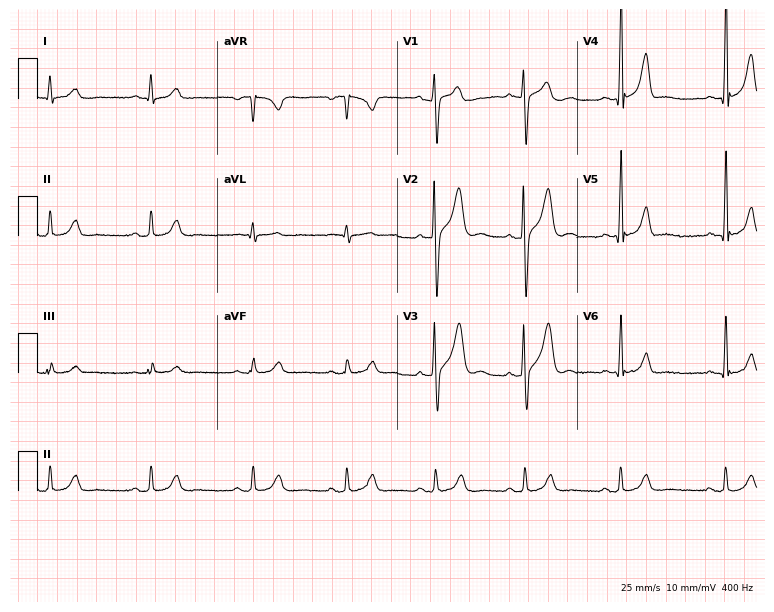
Electrocardiogram, a 29-year-old male patient. Overall reading on record: normal ECG.